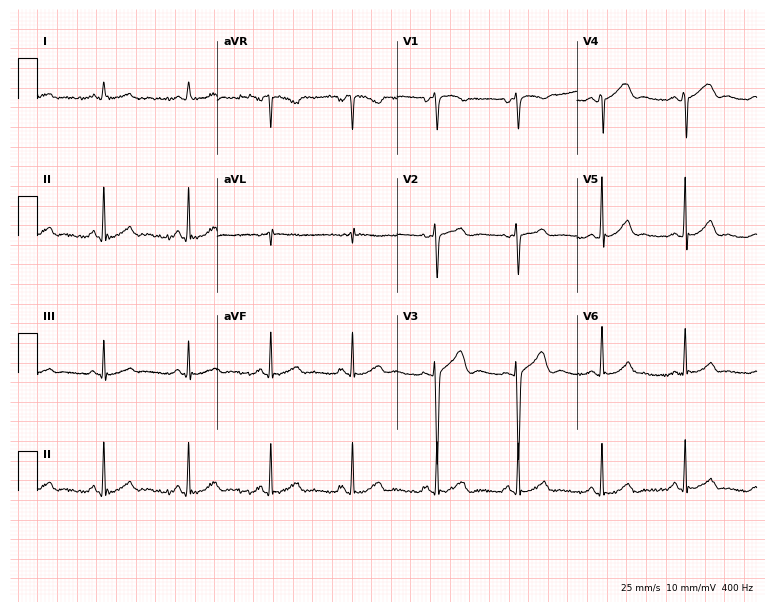
12-lead ECG from an 18-year-old female patient. Recorded interpretation: within normal limits.